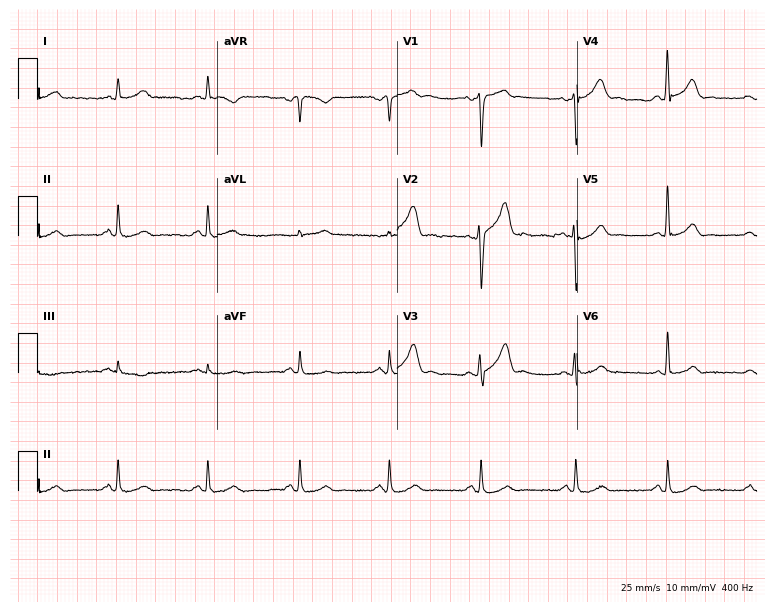
Electrocardiogram, a 59-year-old male patient. Of the six screened findings (first-degree AV block, right bundle branch block, left bundle branch block, sinus bradycardia, atrial fibrillation, sinus tachycardia), none is recorded.